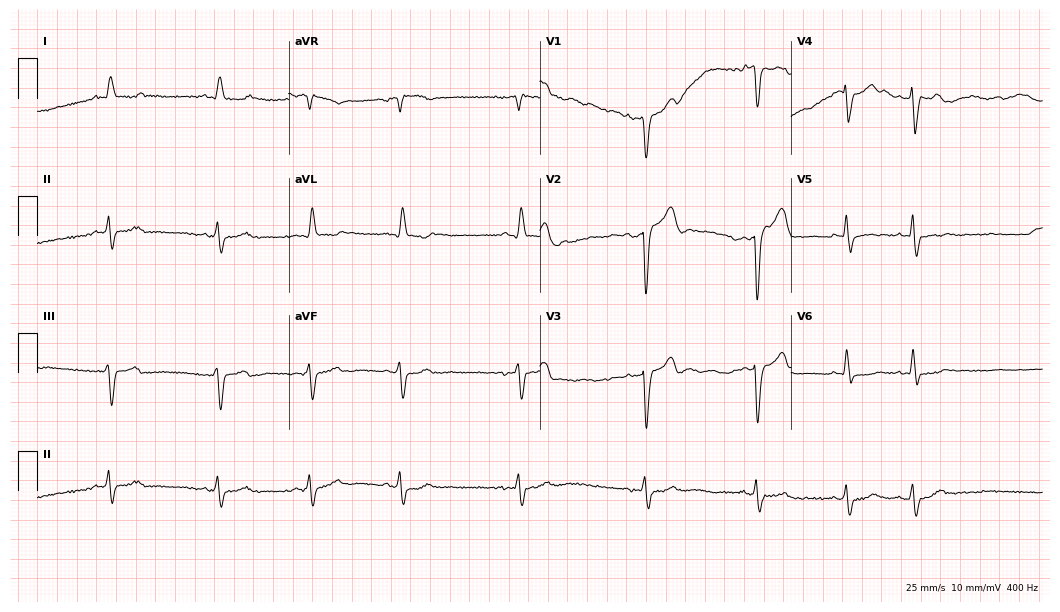
12-lead ECG from a 75-year-old male patient (10.2-second recording at 400 Hz). Shows left bundle branch block.